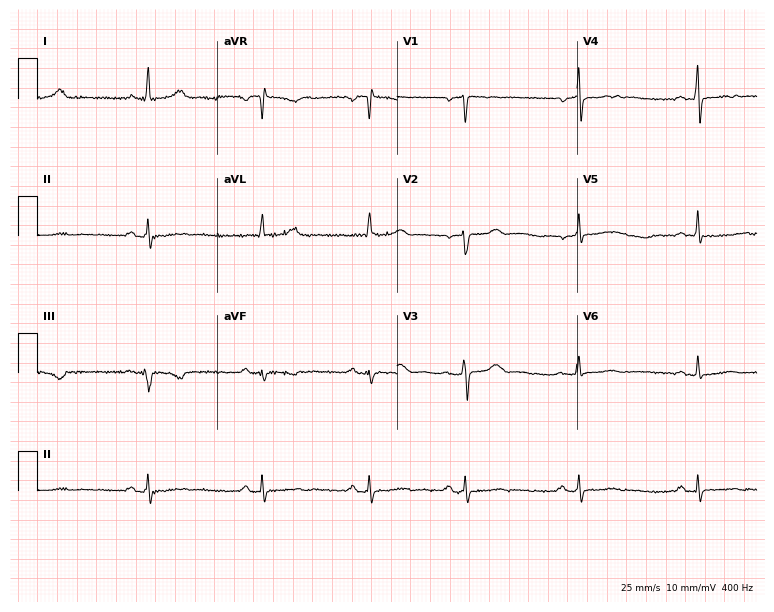
Resting 12-lead electrocardiogram. Patient: a woman, 49 years old. None of these six findings is recorded: first-degree AV block, right bundle branch block, left bundle branch block, sinus bradycardia, atrial fibrillation, sinus tachycardia.